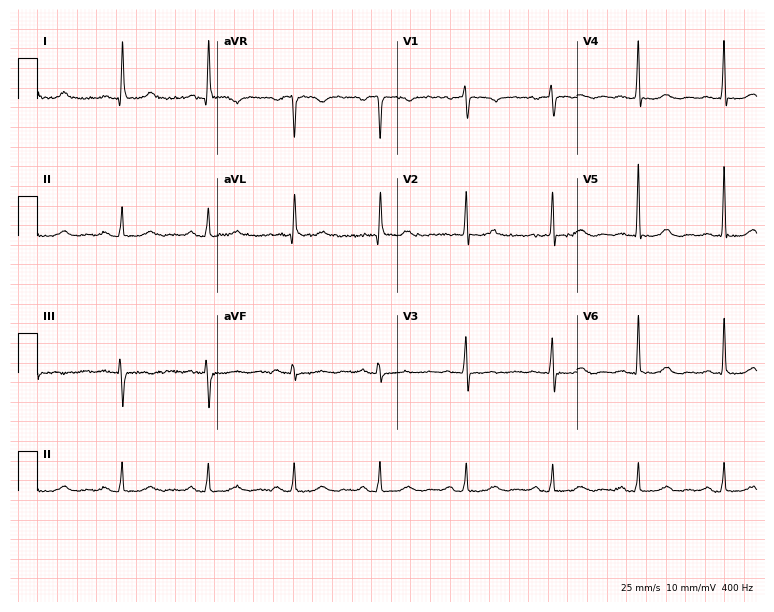
Electrocardiogram, a female patient, 60 years old. Of the six screened findings (first-degree AV block, right bundle branch block (RBBB), left bundle branch block (LBBB), sinus bradycardia, atrial fibrillation (AF), sinus tachycardia), none is recorded. Other findings, if any, are not listed.